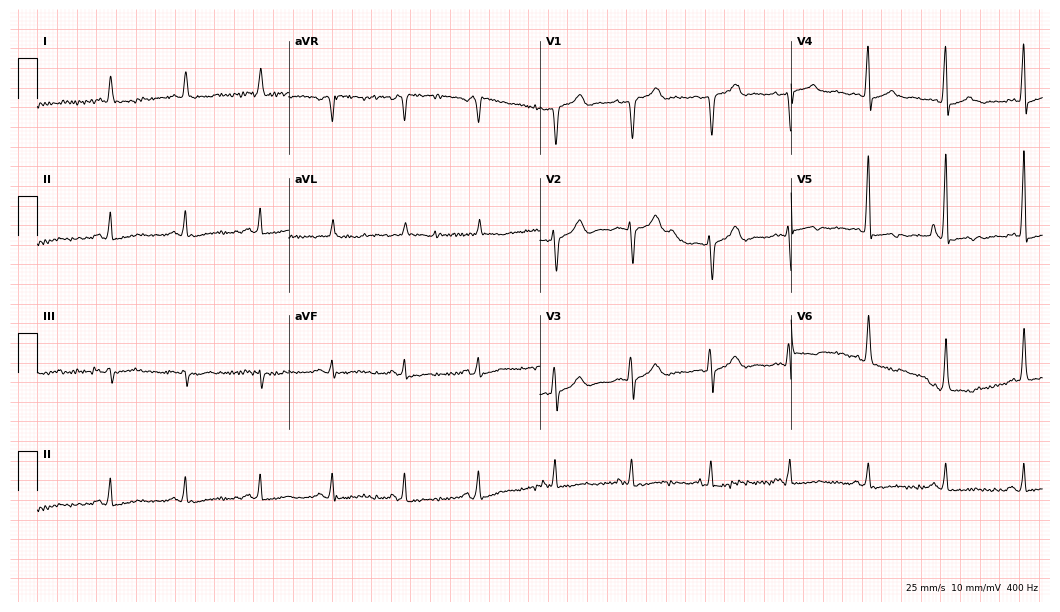
Electrocardiogram (10.2-second recording at 400 Hz), a 77-year-old male. Of the six screened findings (first-degree AV block, right bundle branch block, left bundle branch block, sinus bradycardia, atrial fibrillation, sinus tachycardia), none is recorded. Other findings, if any, are not listed.